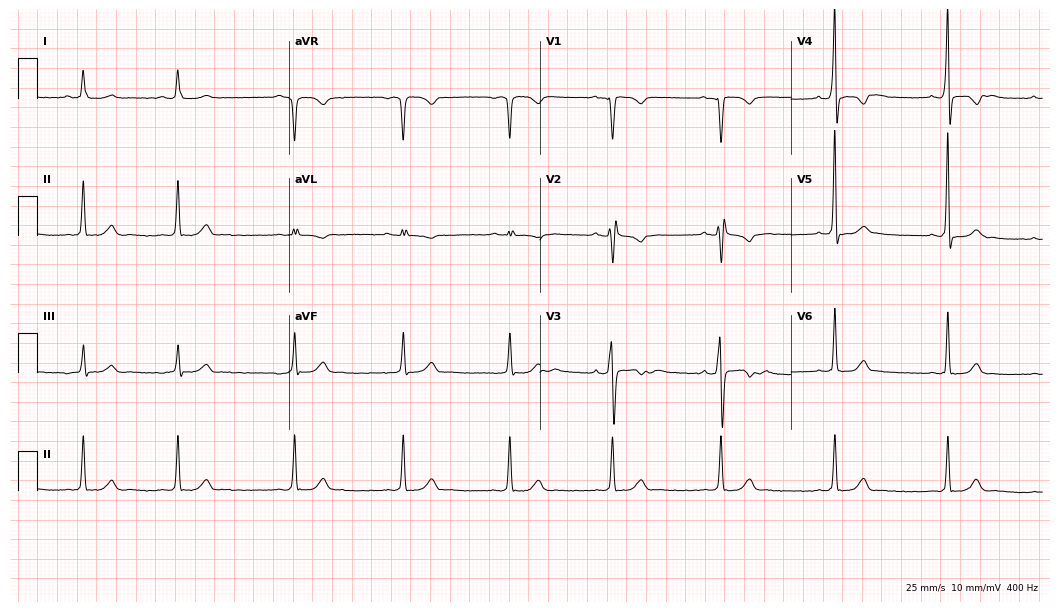
Standard 12-lead ECG recorded from a 20-year-old male patient (10.2-second recording at 400 Hz). None of these six findings is recorded: first-degree AV block, right bundle branch block, left bundle branch block, sinus bradycardia, atrial fibrillation, sinus tachycardia.